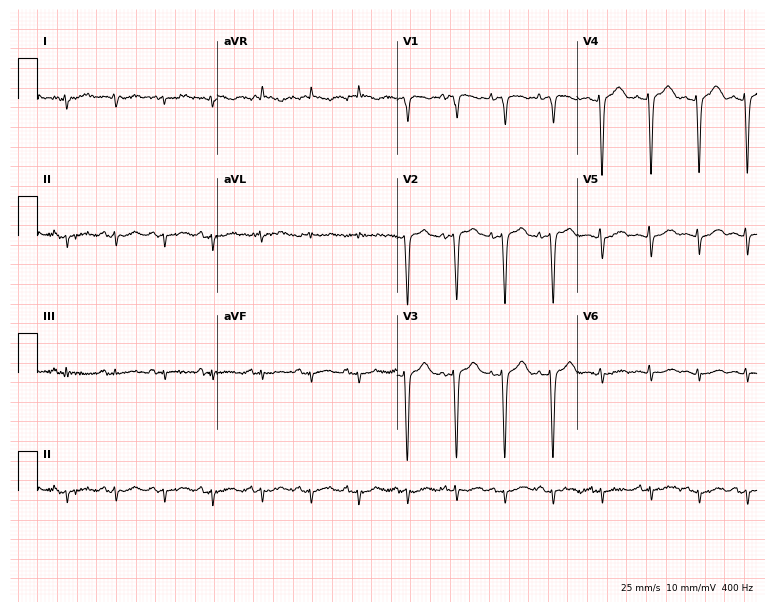
ECG — a 70-year-old woman. Findings include sinus tachycardia (a sinus rate of 100 beats per minute or more).